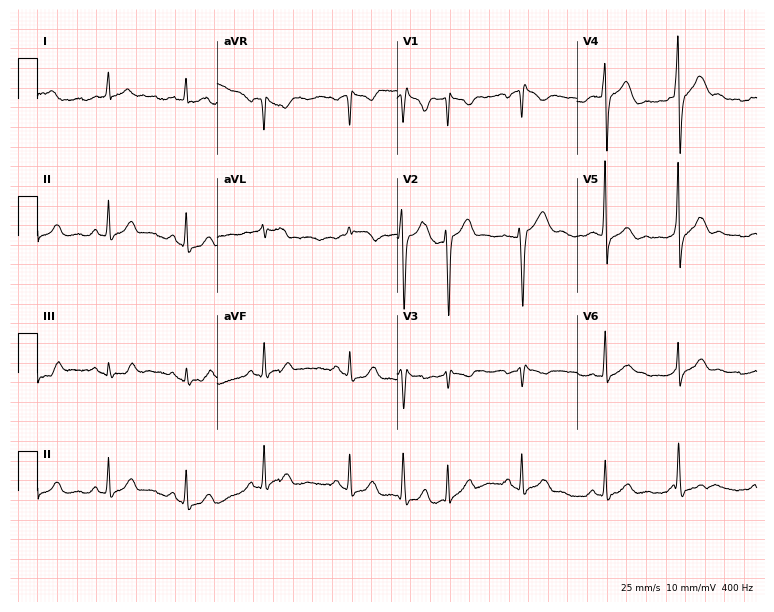
Resting 12-lead electrocardiogram (7.3-second recording at 400 Hz). Patient: a 28-year-old man. Read as a normal ECG.